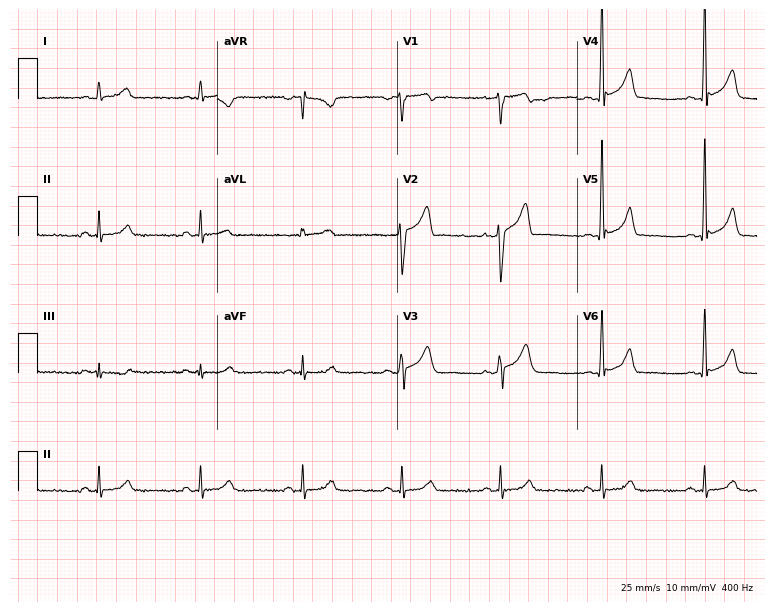
12-lead ECG from a man, 37 years old. No first-degree AV block, right bundle branch block, left bundle branch block, sinus bradycardia, atrial fibrillation or sinus tachycardia recorded for this tracing.